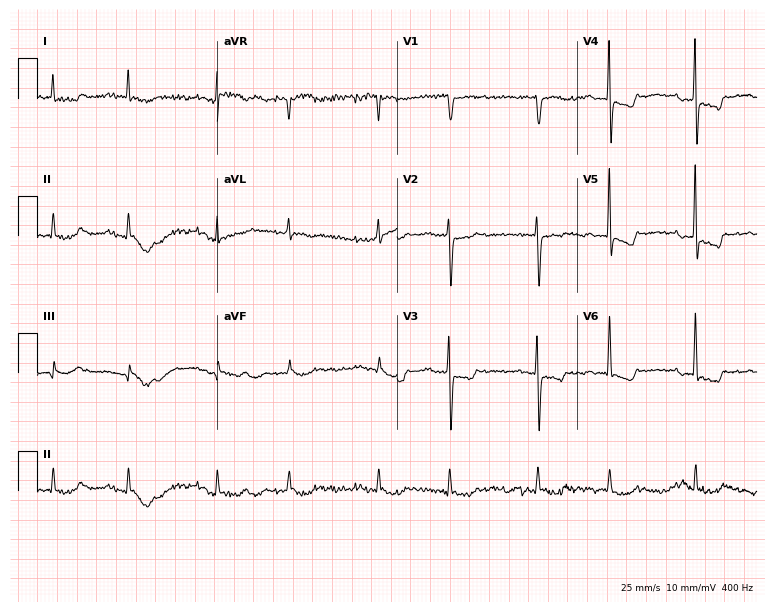
Resting 12-lead electrocardiogram (7.3-second recording at 400 Hz). Patient: a female, 68 years old. None of these six findings is recorded: first-degree AV block, right bundle branch block (RBBB), left bundle branch block (LBBB), sinus bradycardia, atrial fibrillation (AF), sinus tachycardia.